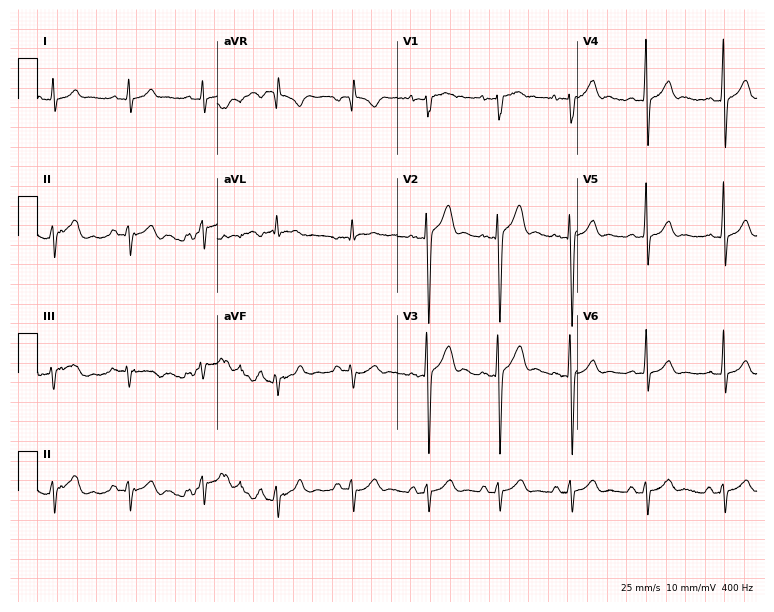
Electrocardiogram (7.3-second recording at 400 Hz), a male, 17 years old. Of the six screened findings (first-degree AV block, right bundle branch block (RBBB), left bundle branch block (LBBB), sinus bradycardia, atrial fibrillation (AF), sinus tachycardia), none is recorded. Only these six findings were labelled.